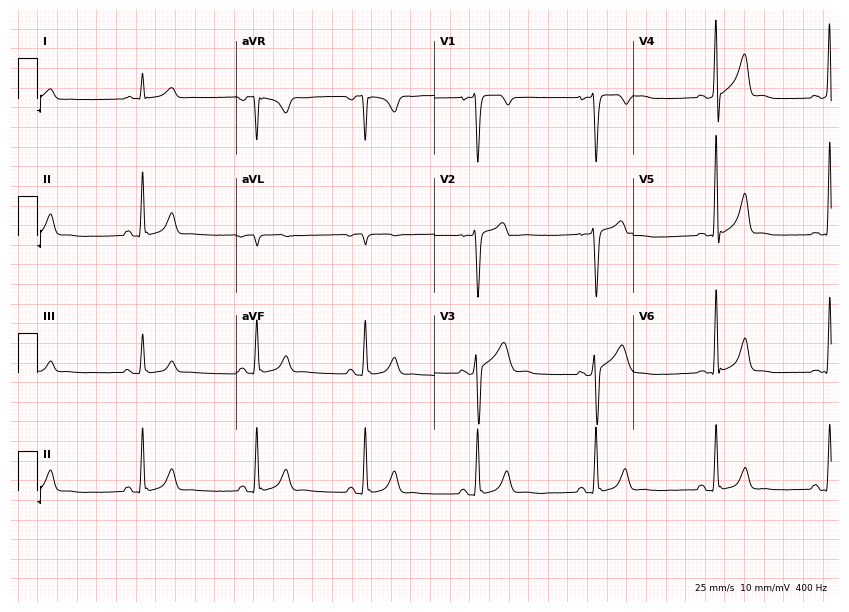
12-lead ECG from a 42-year-old male (8.1-second recording at 400 Hz). No first-degree AV block, right bundle branch block (RBBB), left bundle branch block (LBBB), sinus bradycardia, atrial fibrillation (AF) or sinus tachycardia recorded for this tracing. Findings outside these six are not listed.